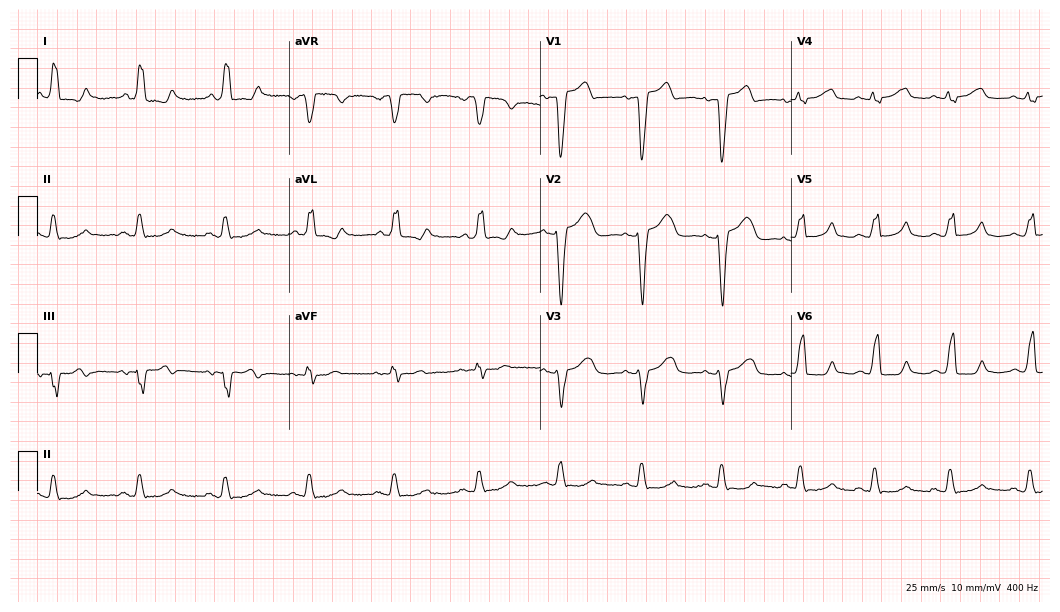
12-lead ECG from a woman, 68 years old. Shows left bundle branch block.